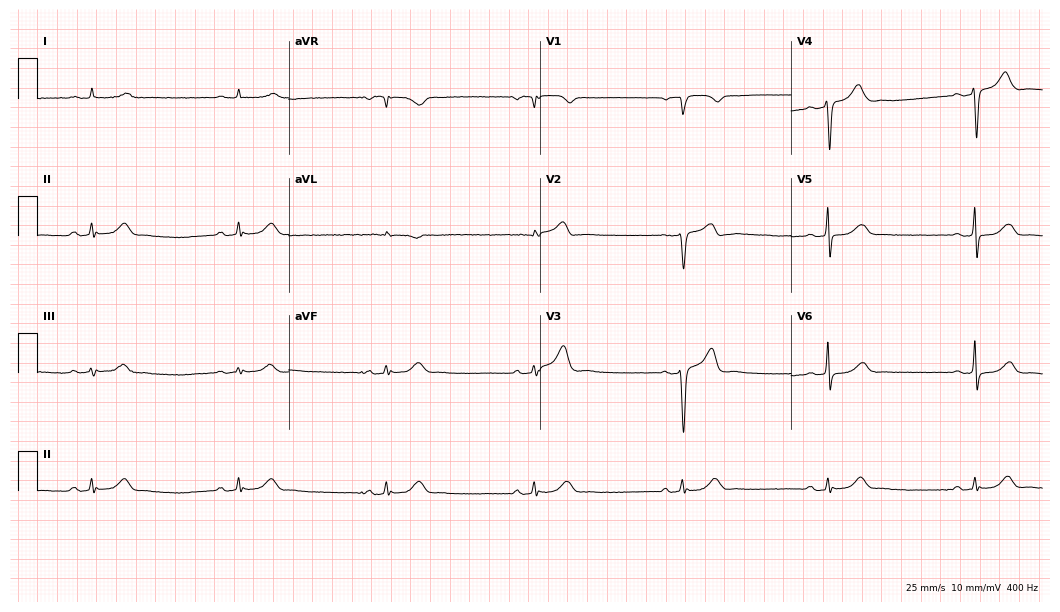
Standard 12-lead ECG recorded from a male patient, 78 years old. The tracing shows sinus bradycardia (a sinus rate of 50 beats per minute or less).